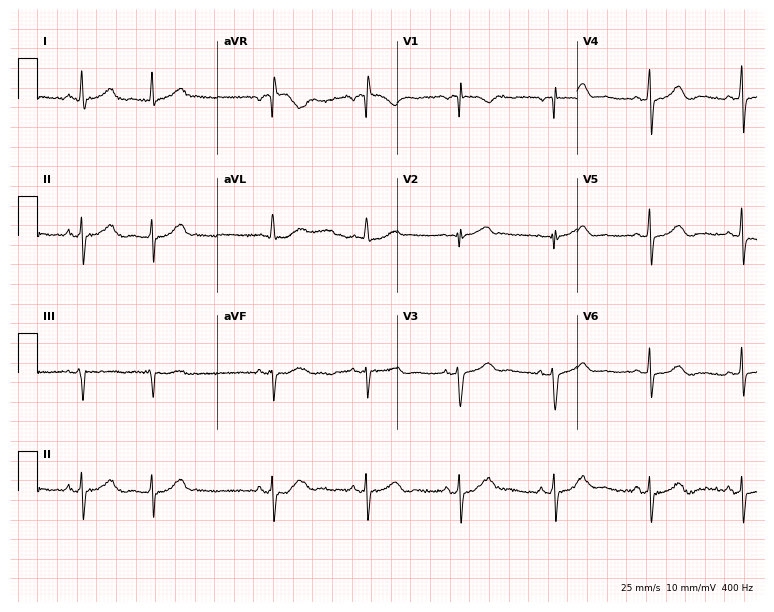
ECG (7.3-second recording at 400 Hz) — a 73-year-old female. Screened for six findings — first-degree AV block, right bundle branch block (RBBB), left bundle branch block (LBBB), sinus bradycardia, atrial fibrillation (AF), sinus tachycardia — none is recorded. Other findings, if any, are not listed.